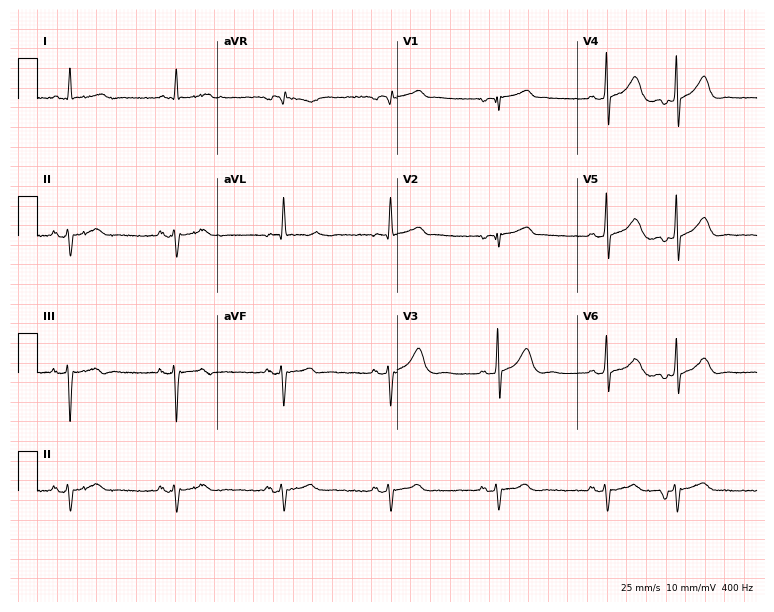
ECG (7.3-second recording at 400 Hz) — an 82-year-old man. Screened for six findings — first-degree AV block, right bundle branch block, left bundle branch block, sinus bradycardia, atrial fibrillation, sinus tachycardia — none is recorded.